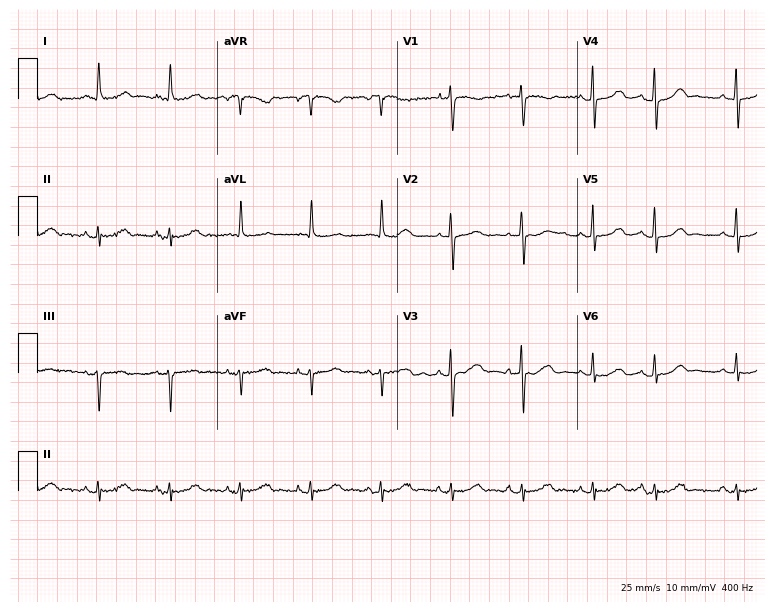
Electrocardiogram (7.3-second recording at 400 Hz), a woman, 71 years old. Overall reading on record: normal ECG.